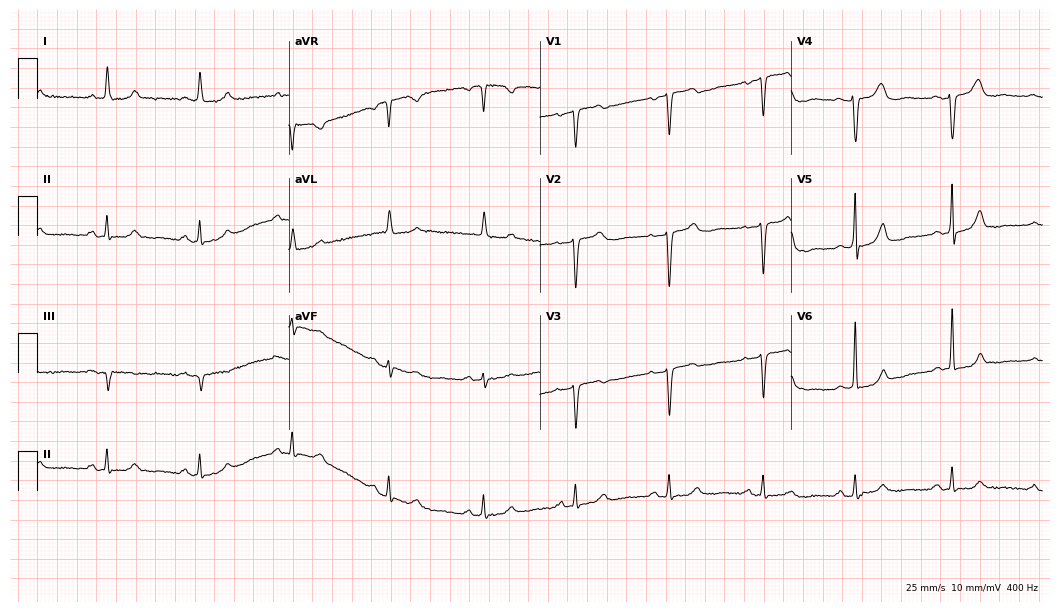
12-lead ECG from a woman, 81 years old. Screened for six findings — first-degree AV block, right bundle branch block (RBBB), left bundle branch block (LBBB), sinus bradycardia, atrial fibrillation (AF), sinus tachycardia — none is recorded. Only these six findings were labelled.